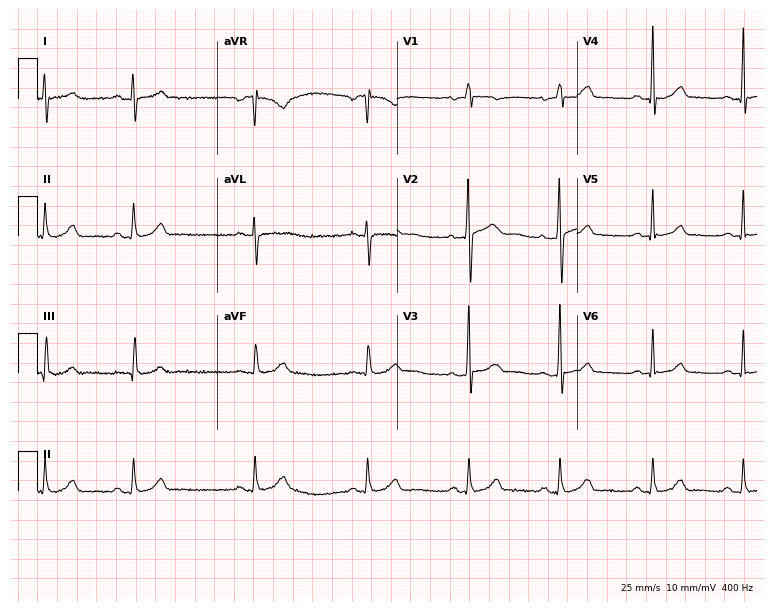
Electrocardiogram, a female, 26 years old. Overall reading on record: normal ECG.